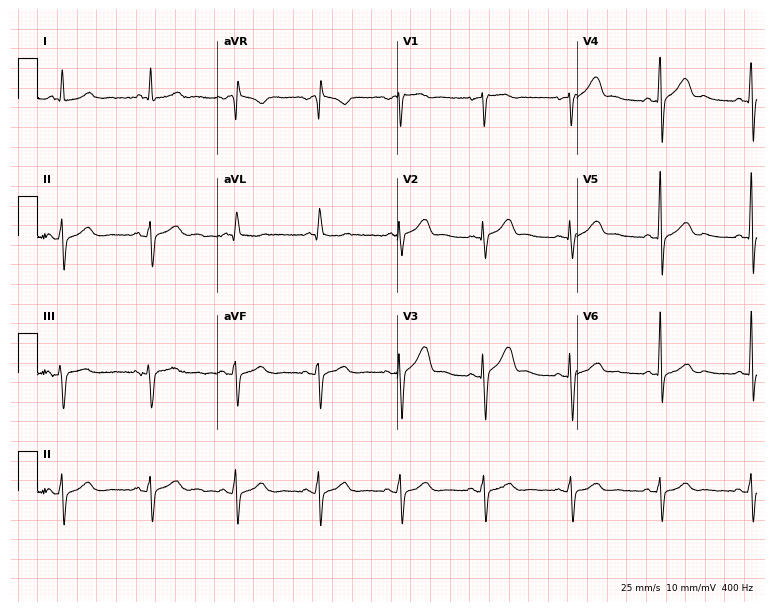
ECG (7.3-second recording at 400 Hz) — a 54-year-old male patient. Screened for six findings — first-degree AV block, right bundle branch block, left bundle branch block, sinus bradycardia, atrial fibrillation, sinus tachycardia — none is recorded.